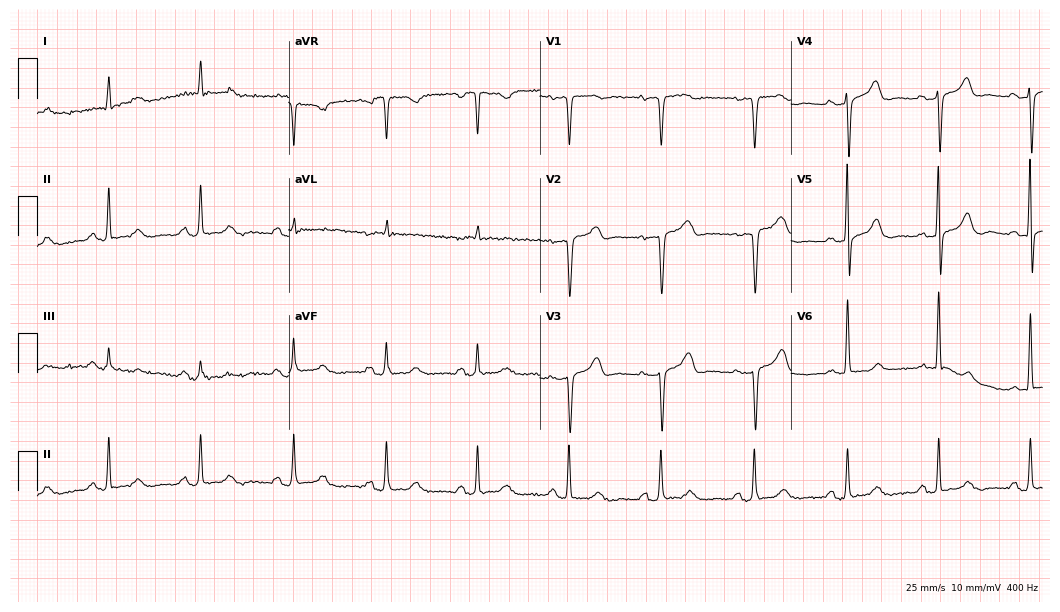
12-lead ECG from an 85-year-old female patient. Recorded interpretation: within normal limits.